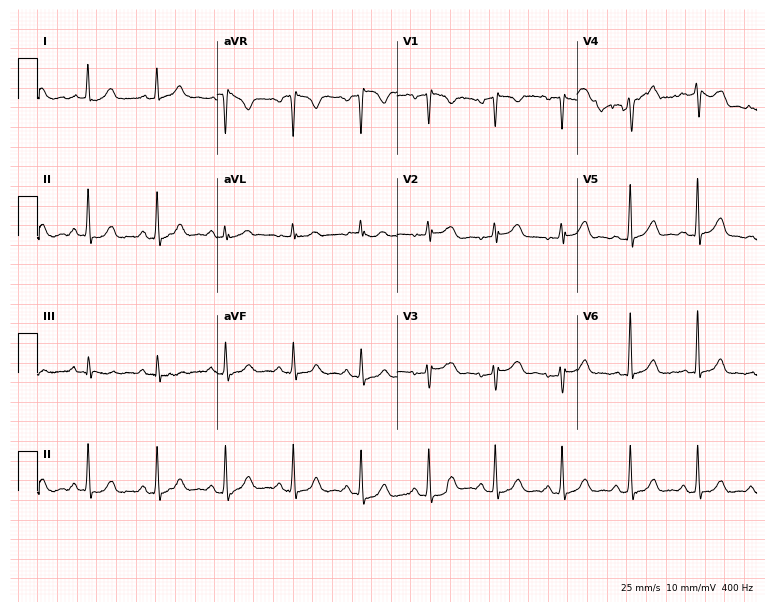
Resting 12-lead electrocardiogram. Patient: a woman, 47 years old. Read as a normal ECG.